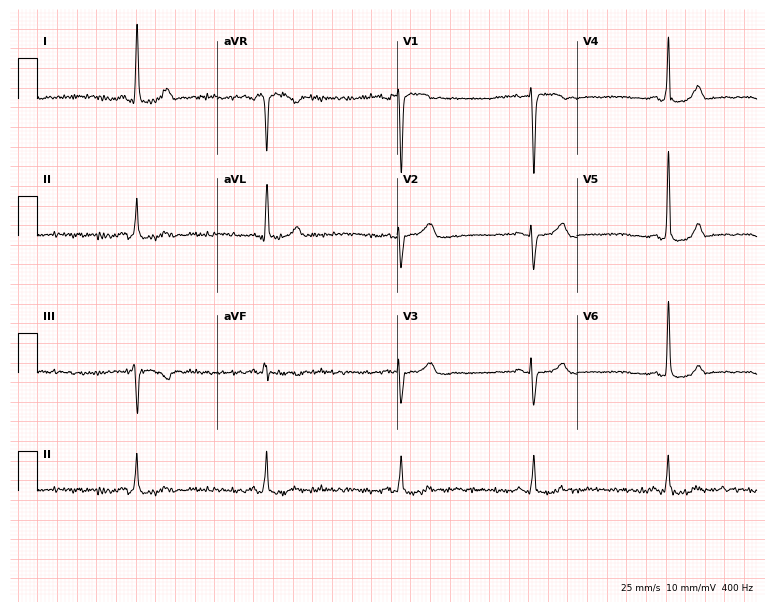
Standard 12-lead ECG recorded from a 61-year-old woman. None of these six findings is recorded: first-degree AV block, right bundle branch block (RBBB), left bundle branch block (LBBB), sinus bradycardia, atrial fibrillation (AF), sinus tachycardia.